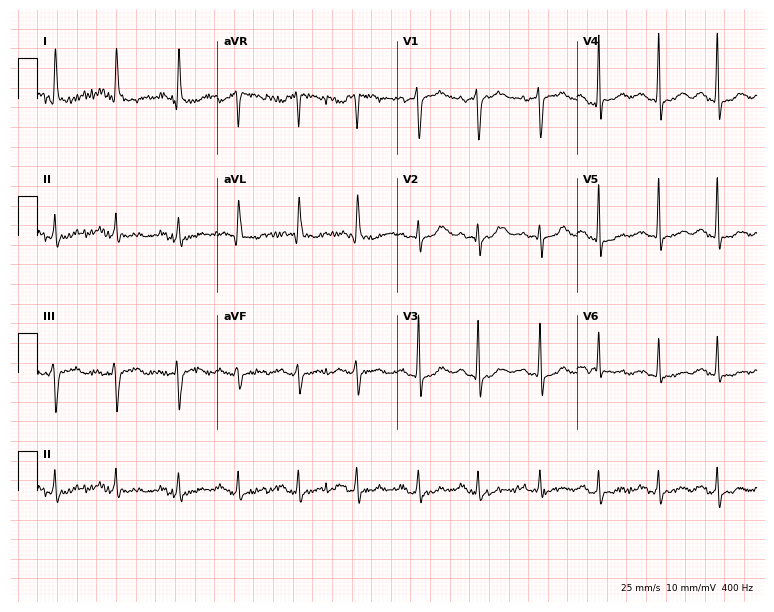
12-lead ECG from a 73-year-old female patient (7.3-second recording at 400 Hz). No first-degree AV block, right bundle branch block (RBBB), left bundle branch block (LBBB), sinus bradycardia, atrial fibrillation (AF) or sinus tachycardia recorded for this tracing. Findings outside these six are not listed.